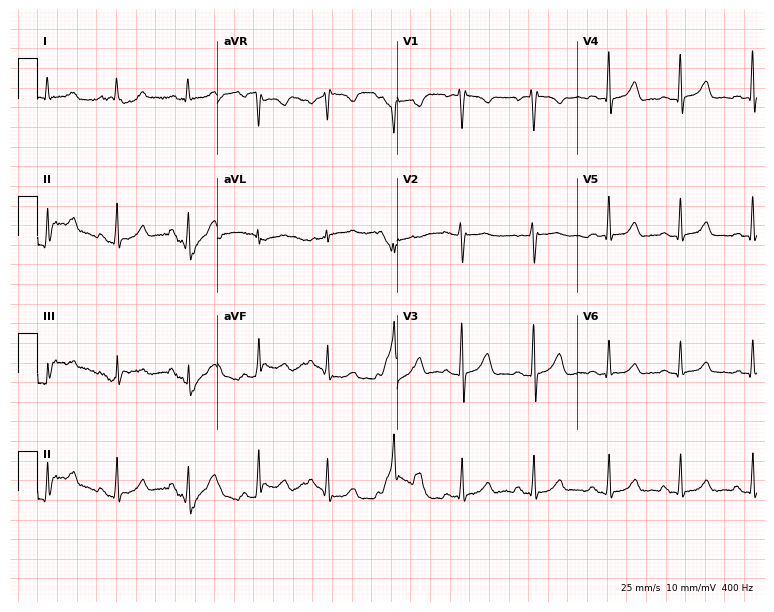
12-lead ECG (7.3-second recording at 400 Hz) from a 27-year-old woman. Labelled as a normal ECG.